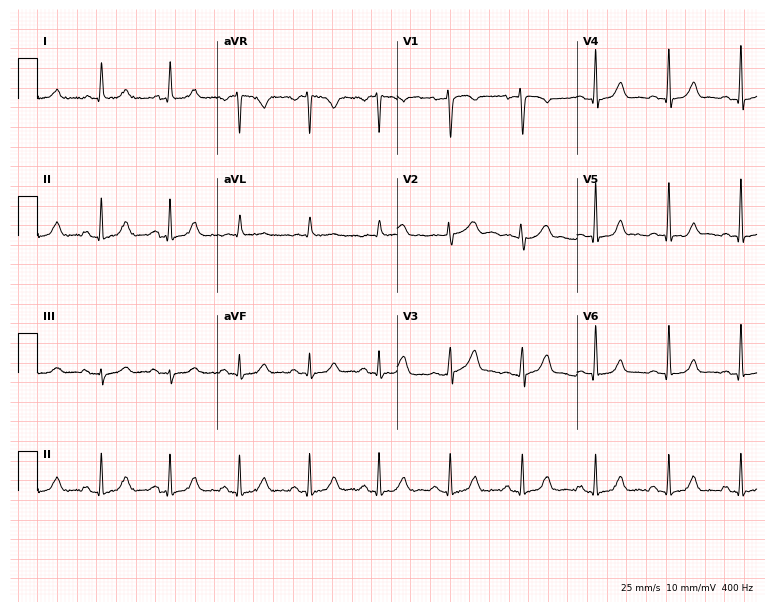
ECG — a 57-year-old female. Labelled as a normal ECG.